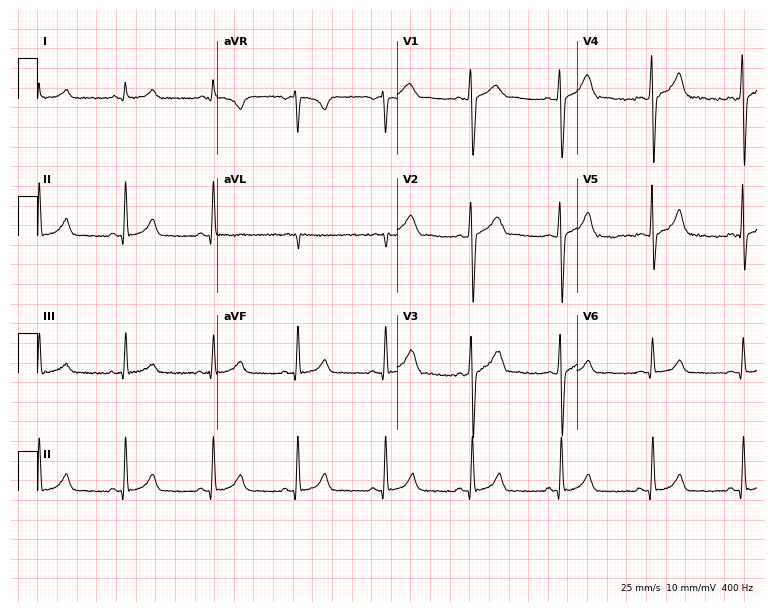
Electrocardiogram (7.3-second recording at 400 Hz), a 20-year-old male. Of the six screened findings (first-degree AV block, right bundle branch block, left bundle branch block, sinus bradycardia, atrial fibrillation, sinus tachycardia), none is recorded.